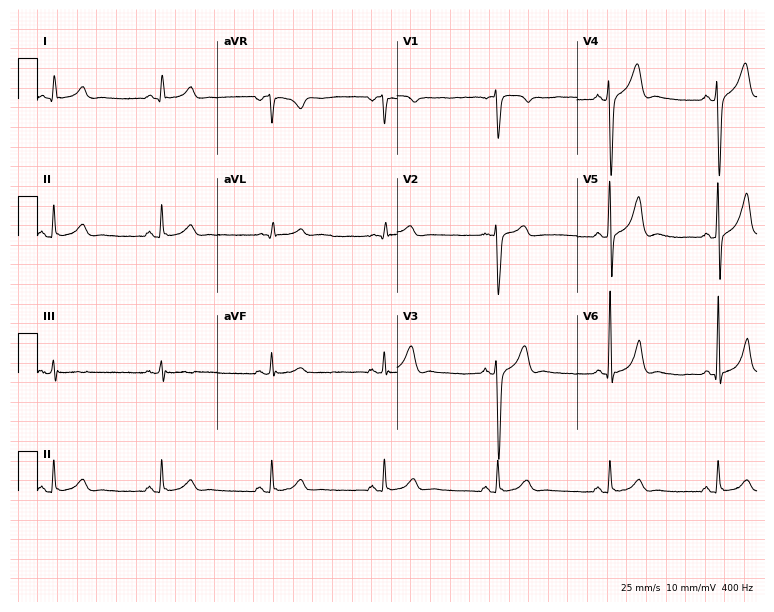
12-lead ECG from a male, 32 years old. Screened for six findings — first-degree AV block, right bundle branch block, left bundle branch block, sinus bradycardia, atrial fibrillation, sinus tachycardia — none is recorded. Other findings, if any, are not listed.